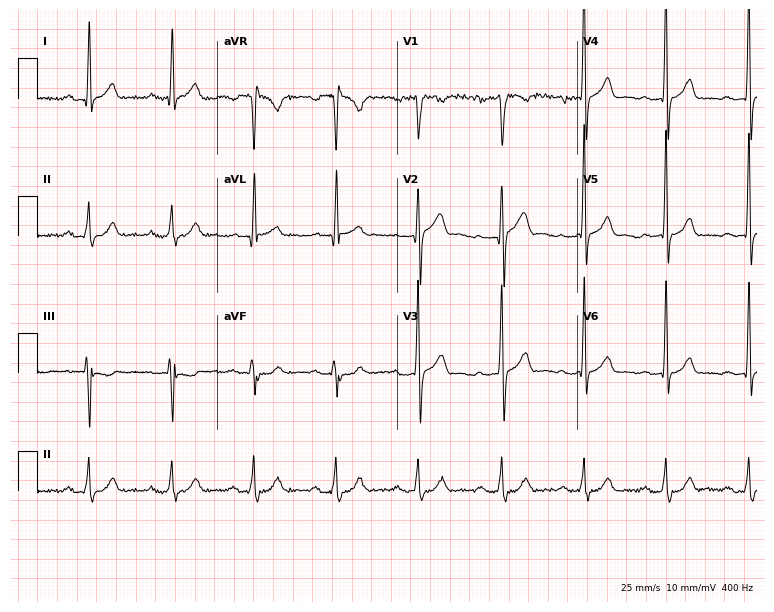
Electrocardiogram (7.3-second recording at 400 Hz), a 42-year-old man. Overall reading on record: normal ECG.